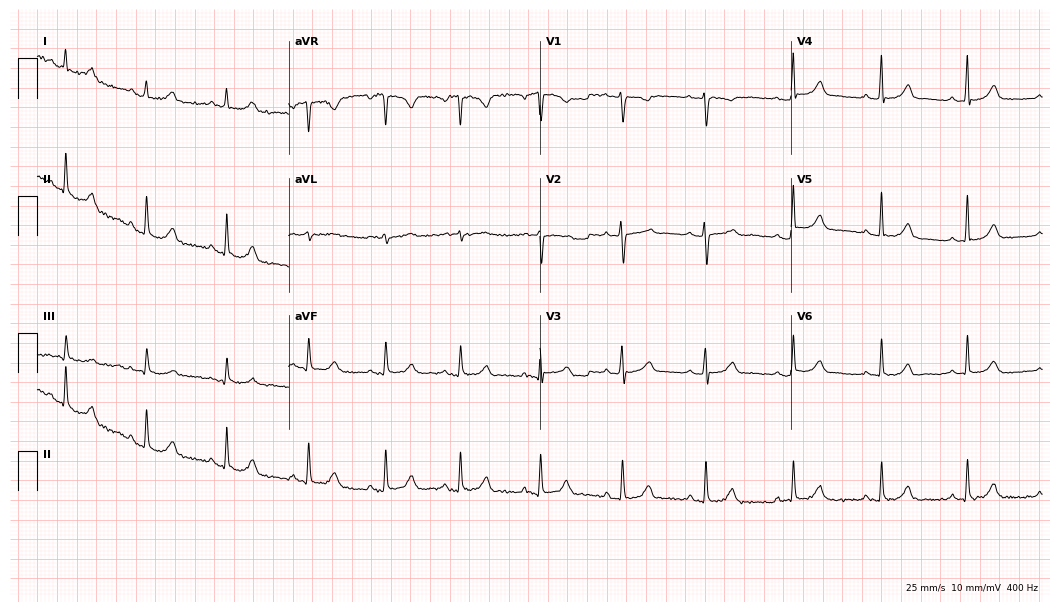
12-lead ECG from a female, 37 years old (10.2-second recording at 400 Hz). Recorded interpretation: within normal limits.